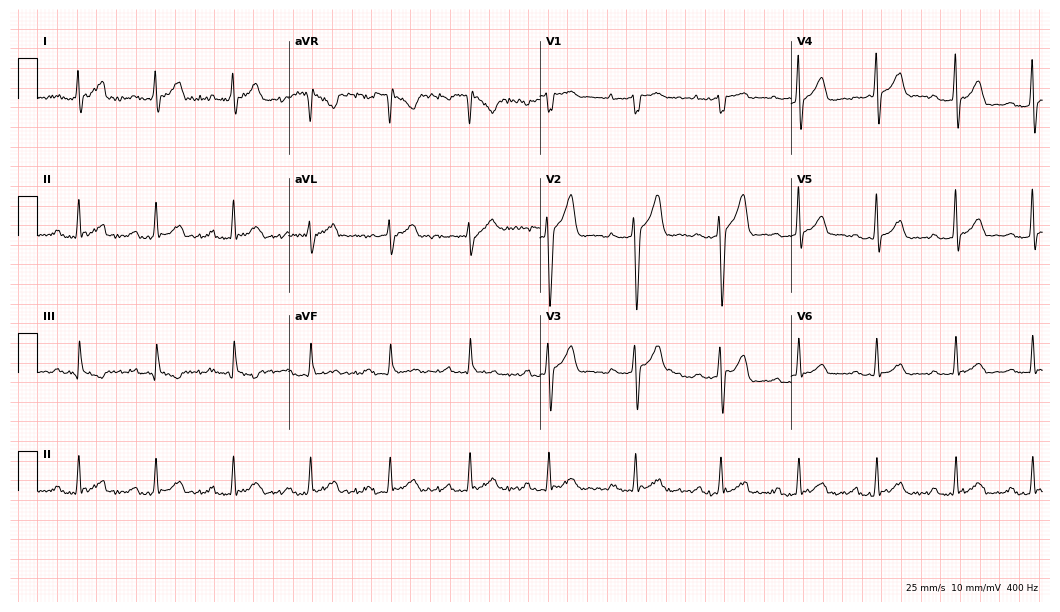
Resting 12-lead electrocardiogram. Patient: a male, 38 years old. The tracing shows first-degree AV block.